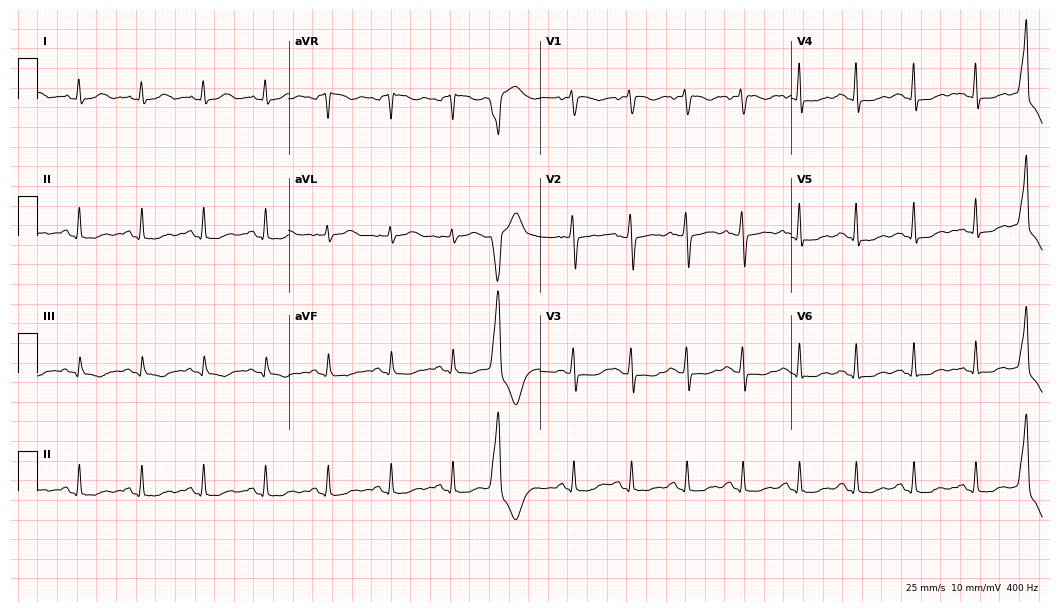
12-lead ECG from a 39-year-old woman (10.2-second recording at 400 Hz). Recorded interpretation: within normal limits.